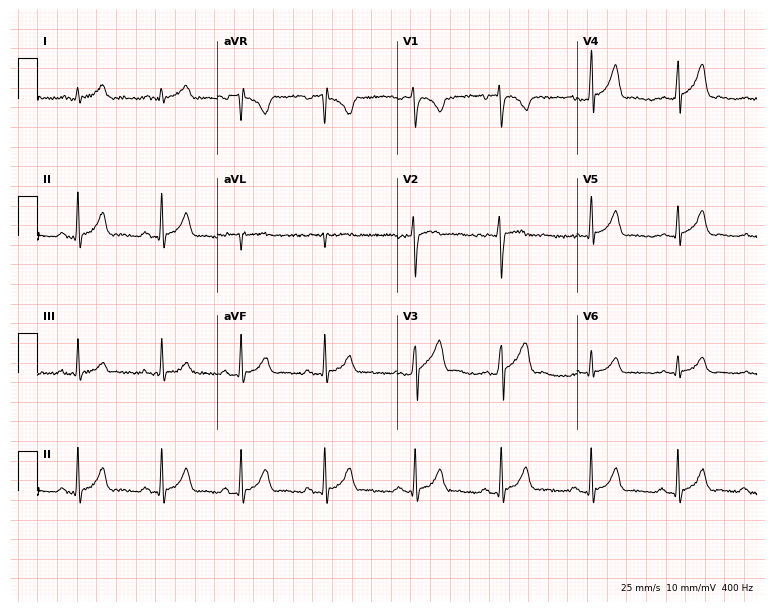
12-lead ECG from a male, 29 years old (7.3-second recording at 400 Hz). No first-degree AV block, right bundle branch block, left bundle branch block, sinus bradycardia, atrial fibrillation or sinus tachycardia recorded for this tracing. Findings outside these six are not listed.